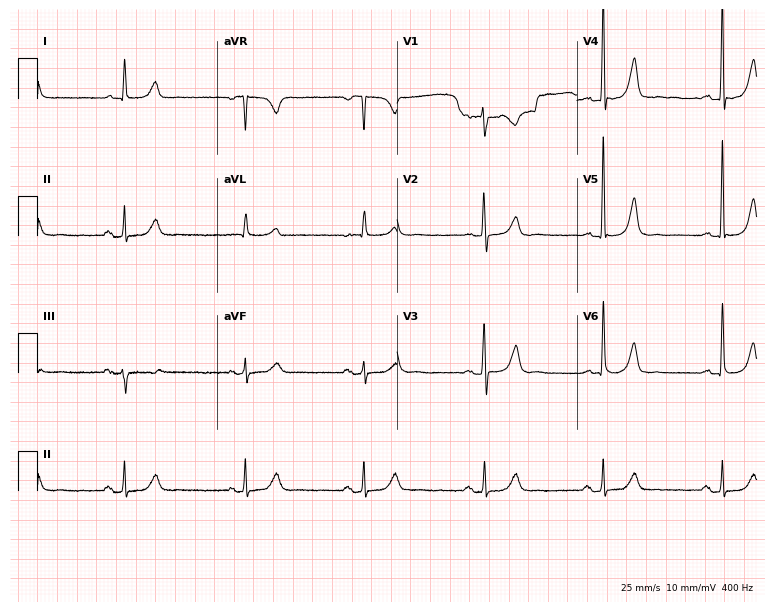
Electrocardiogram (7.3-second recording at 400 Hz), a woman, 80 years old. Of the six screened findings (first-degree AV block, right bundle branch block (RBBB), left bundle branch block (LBBB), sinus bradycardia, atrial fibrillation (AF), sinus tachycardia), none is recorded.